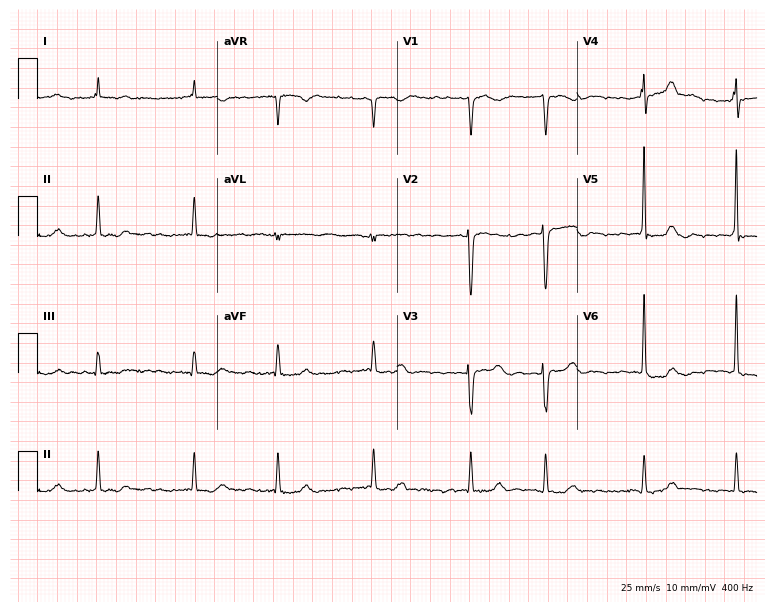
Standard 12-lead ECG recorded from an 81-year-old woman. The tracing shows atrial fibrillation.